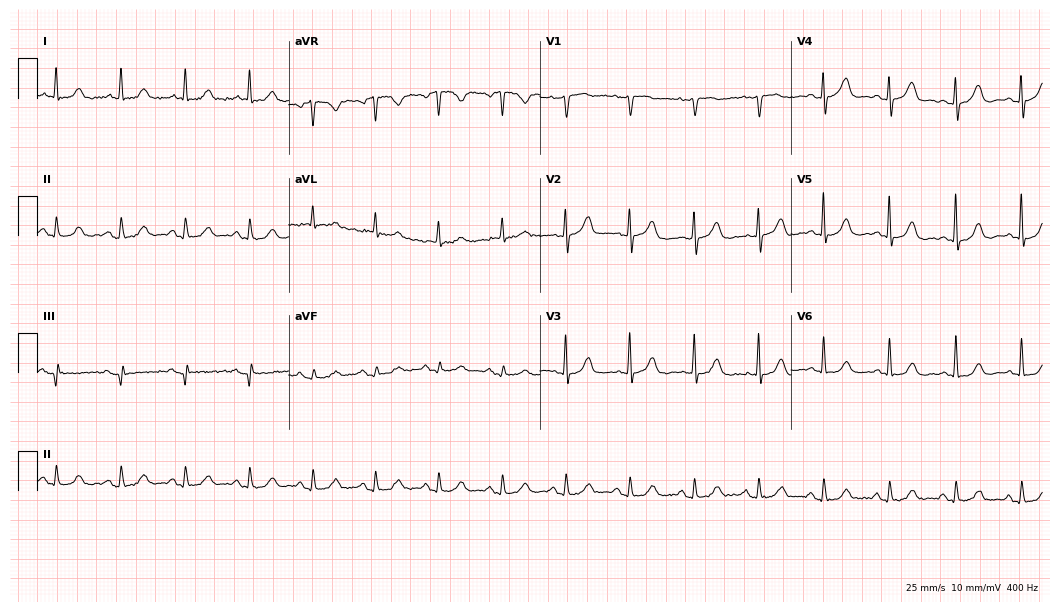
ECG (10.2-second recording at 400 Hz) — a 72-year-old woman. Screened for six findings — first-degree AV block, right bundle branch block, left bundle branch block, sinus bradycardia, atrial fibrillation, sinus tachycardia — none is recorded. Other findings, if any, are not listed.